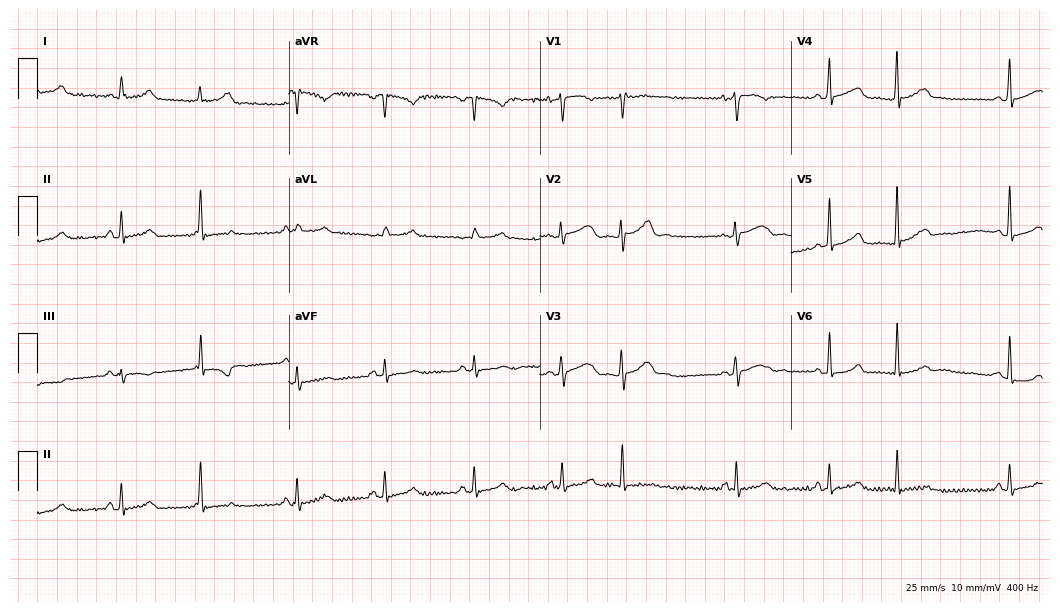
12-lead ECG from a 35-year-old woman (10.2-second recording at 400 Hz). No first-degree AV block, right bundle branch block, left bundle branch block, sinus bradycardia, atrial fibrillation or sinus tachycardia recorded for this tracing. Findings outside these six are not listed.